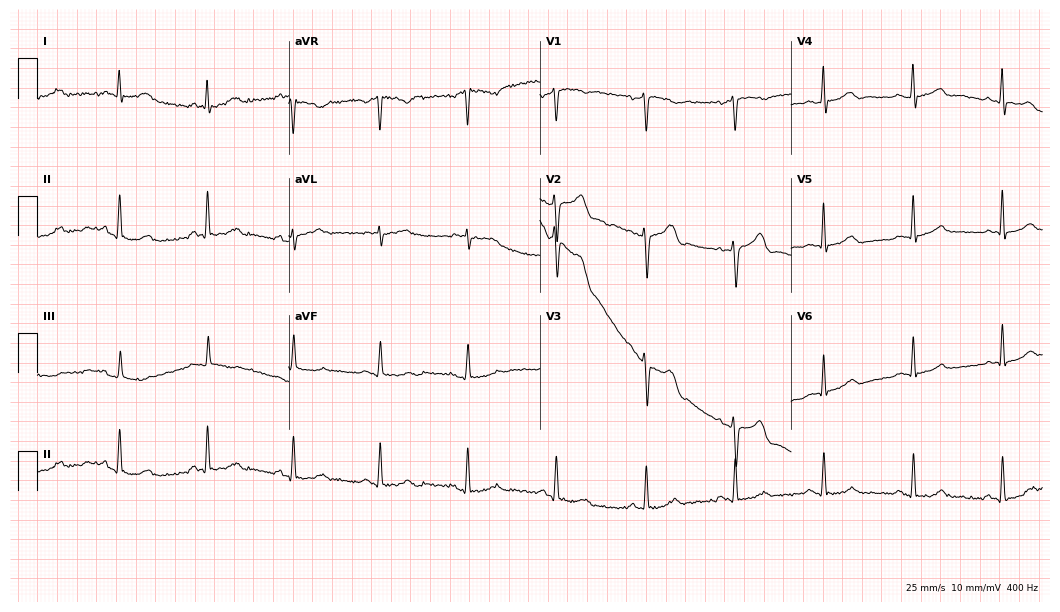
12-lead ECG from a 47-year-old man. No first-degree AV block, right bundle branch block, left bundle branch block, sinus bradycardia, atrial fibrillation or sinus tachycardia recorded for this tracing. Other findings, if any, are not listed.